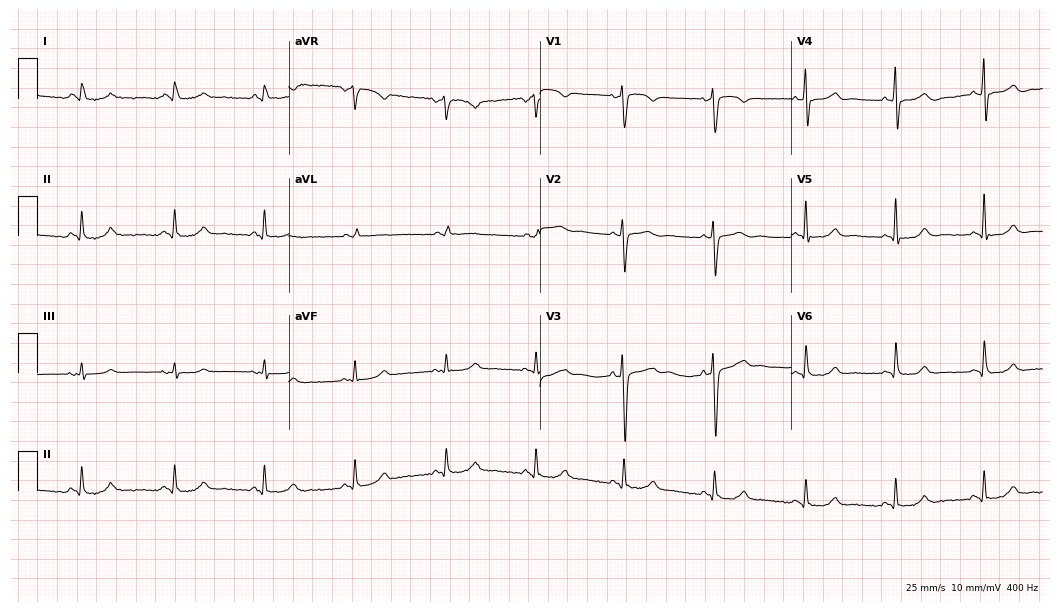
ECG (10.2-second recording at 400 Hz) — a man, 49 years old. Labelled as a normal ECG.